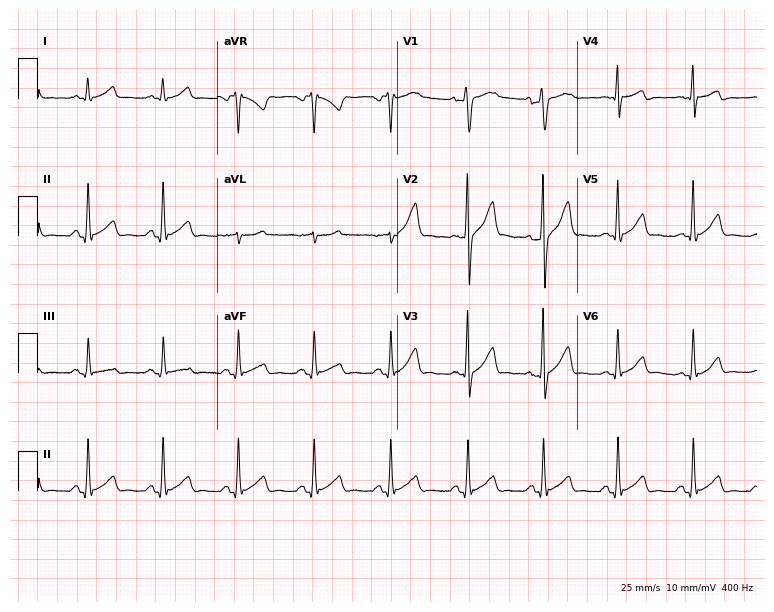
Standard 12-lead ECG recorded from a male, 25 years old (7.3-second recording at 400 Hz). Read as a normal ECG.